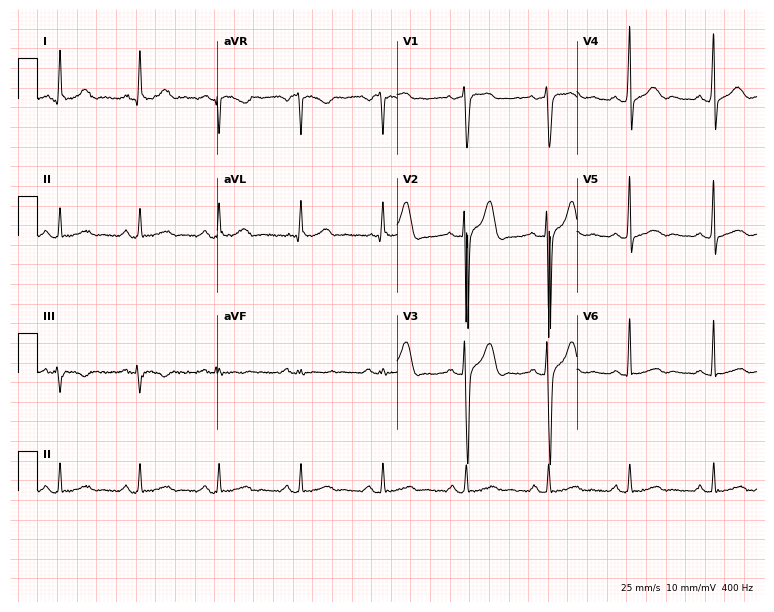
ECG — a 44-year-old male patient. Labelled as a normal ECG.